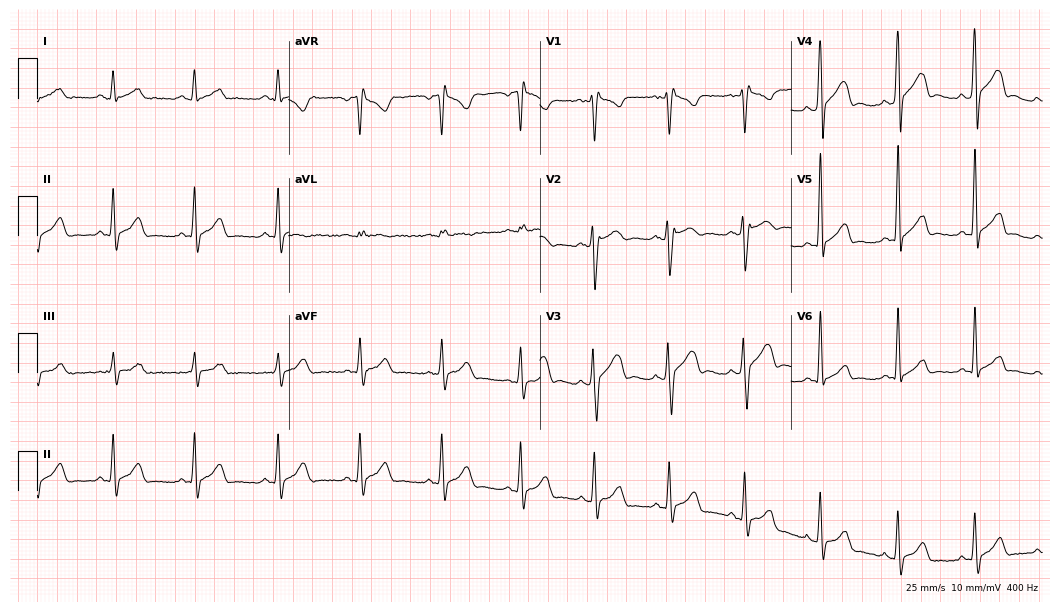
12-lead ECG (10.2-second recording at 400 Hz) from a 28-year-old male. Findings include right bundle branch block.